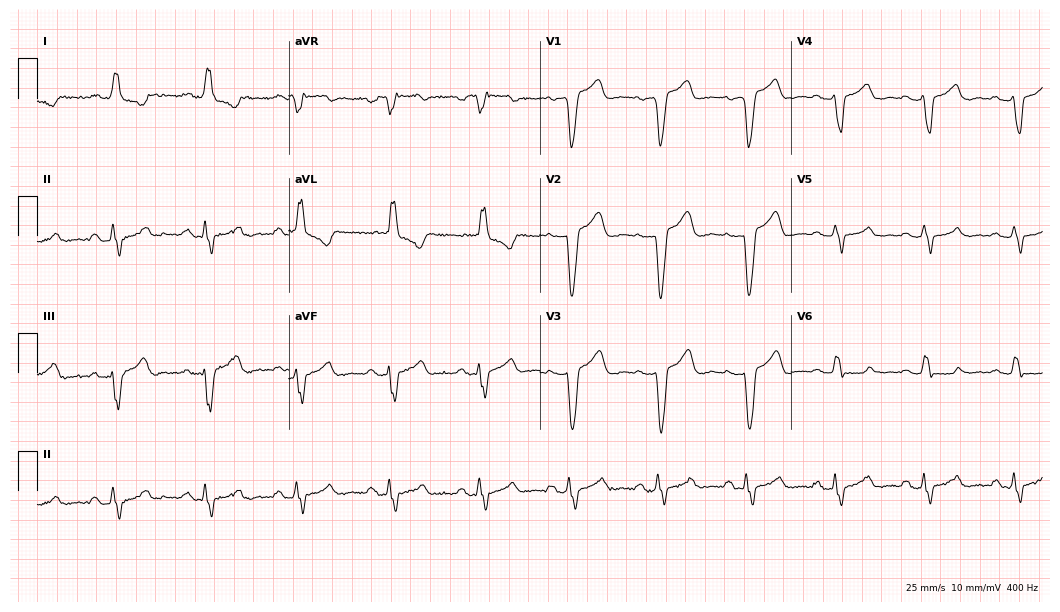
Standard 12-lead ECG recorded from a female, 61 years old. The tracing shows first-degree AV block, left bundle branch block (LBBB).